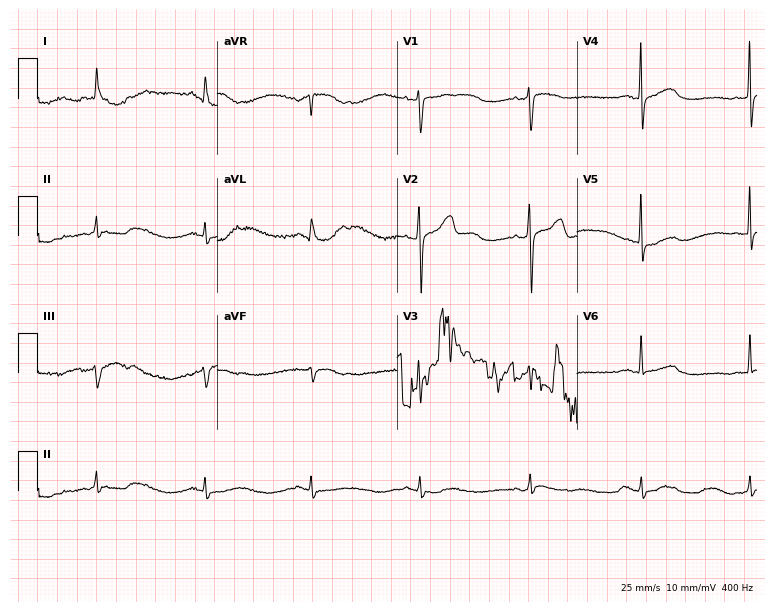
Electrocardiogram, a female, 69 years old. Of the six screened findings (first-degree AV block, right bundle branch block, left bundle branch block, sinus bradycardia, atrial fibrillation, sinus tachycardia), none is recorded. Other findings, if any, are not listed.